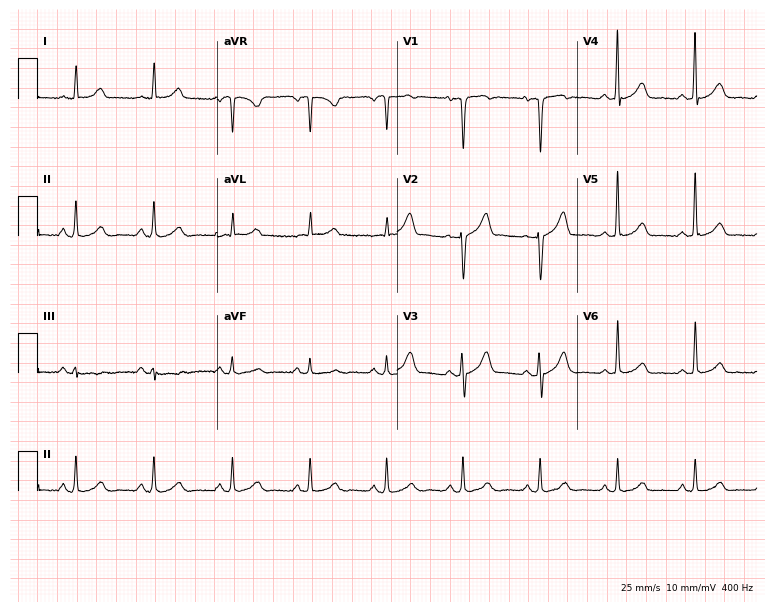
12-lead ECG from a 55-year-old man. Labelled as a normal ECG.